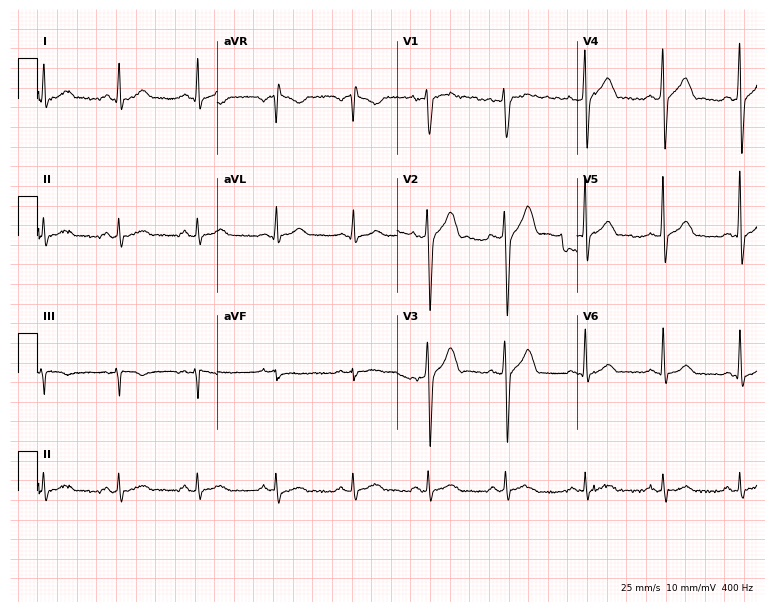
12-lead ECG from a male patient, 25 years old. Screened for six findings — first-degree AV block, right bundle branch block, left bundle branch block, sinus bradycardia, atrial fibrillation, sinus tachycardia — none is recorded. Other findings, if any, are not listed.